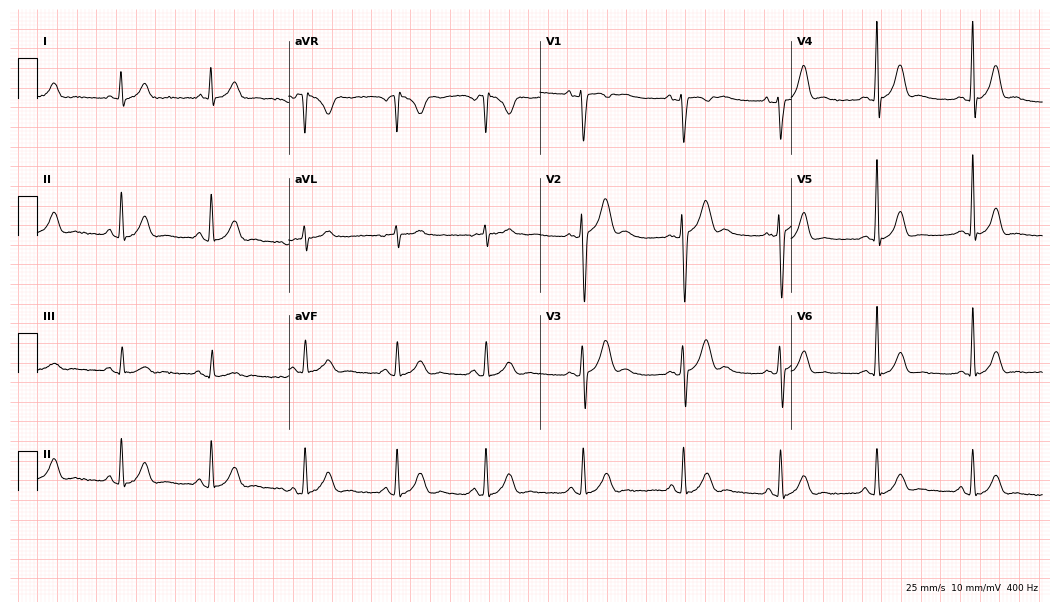
Electrocardiogram, a man, 30 years old. Overall reading on record: normal ECG.